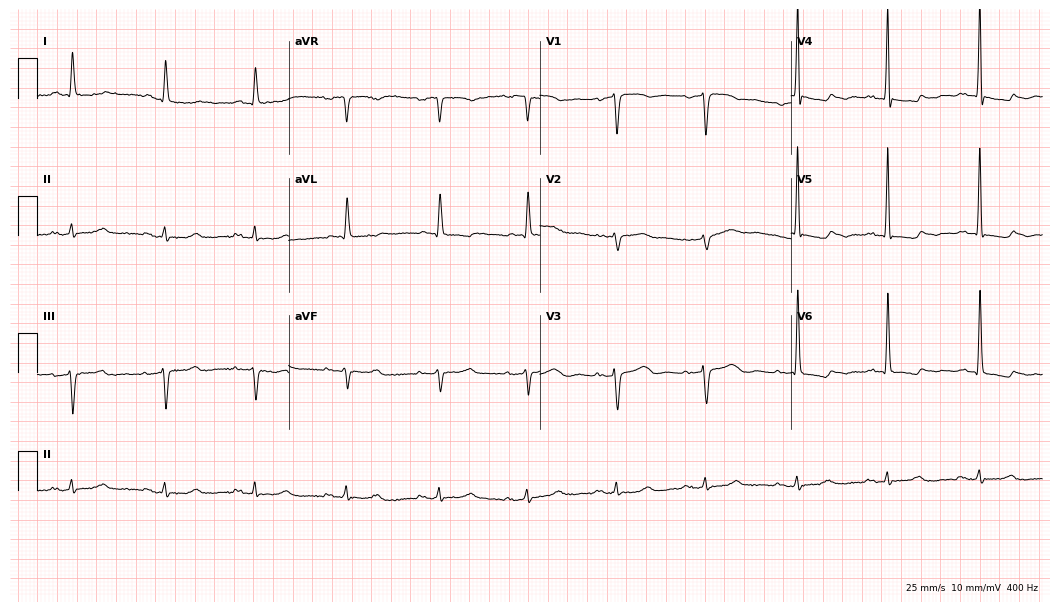
Electrocardiogram, a female, 73 years old. Of the six screened findings (first-degree AV block, right bundle branch block (RBBB), left bundle branch block (LBBB), sinus bradycardia, atrial fibrillation (AF), sinus tachycardia), none is recorded. Other findings, if any, are not listed.